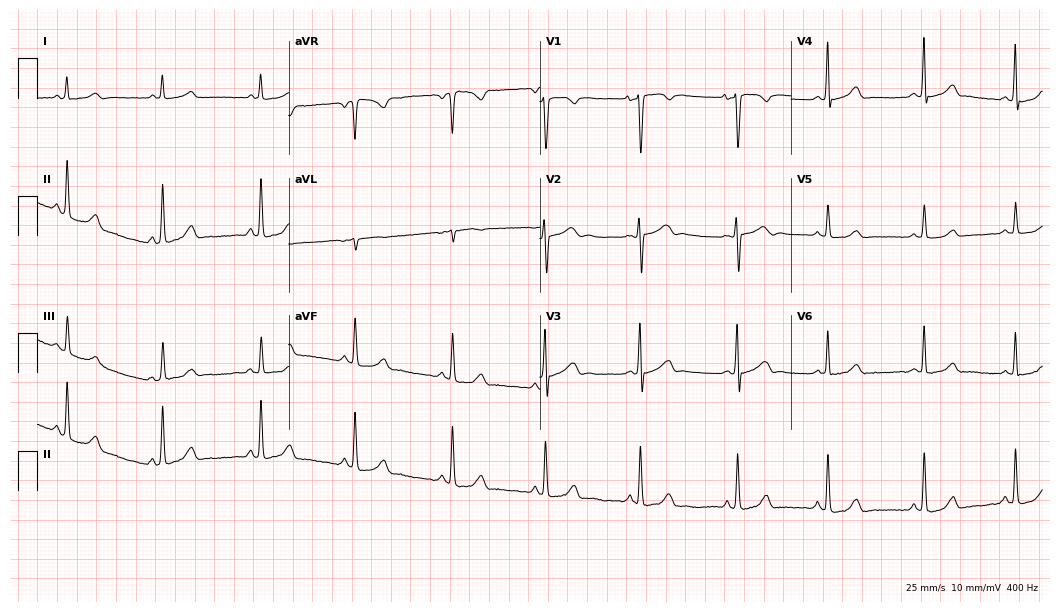
Standard 12-lead ECG recorded from a female, 18 years old (10.2-second recording at 400 Hz). Read as a normal ECG.